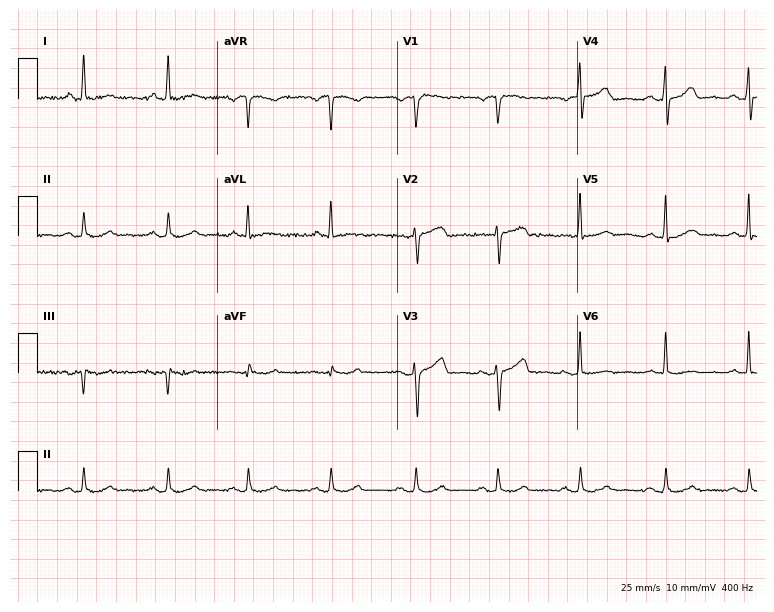
ECG — a female patient, 57 years old. Screened for six findings — first-degree AV block, right bundle branch block, left bundle branch block, sinus bradycardia, atrial fibrillation, sinus tachycardia — none is recorded.